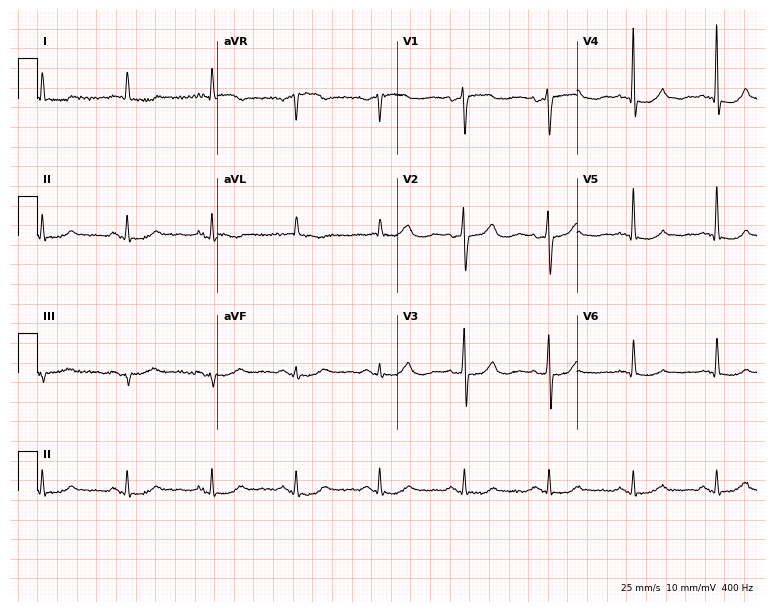
12-lead ECG from a woman, 66 years old. No first-degree AV block, right bundle branch block (RBBB), left bundle branch block (LBBB), sinus bradycardia, atrial fibrillation (AF) or sinus tachycardia recorded for this tracing. Only these six findings were labelled.